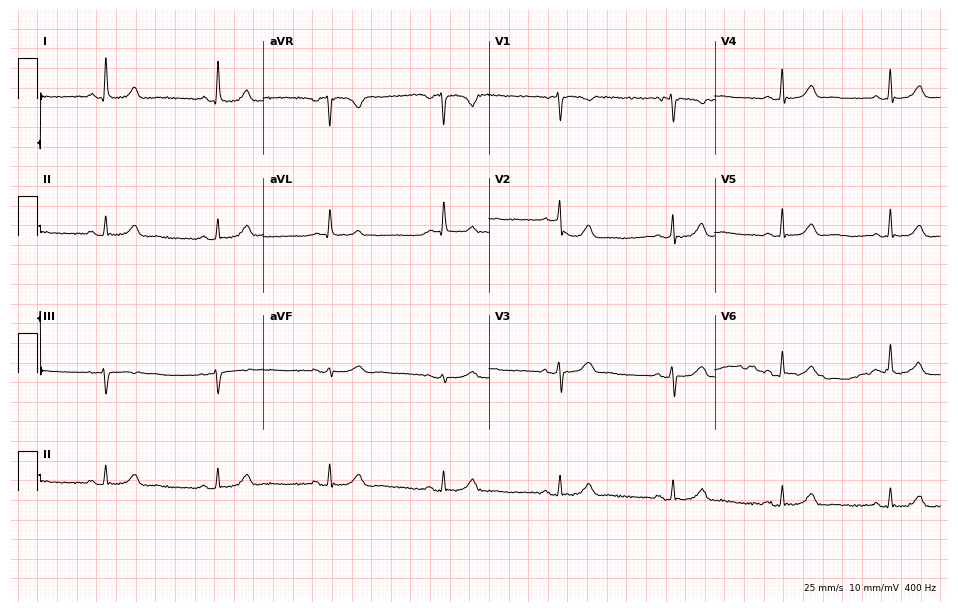
ECG (9.2-second recording at 400 Hz) — a woman, 55 years old. Labelled as a normal ECG.